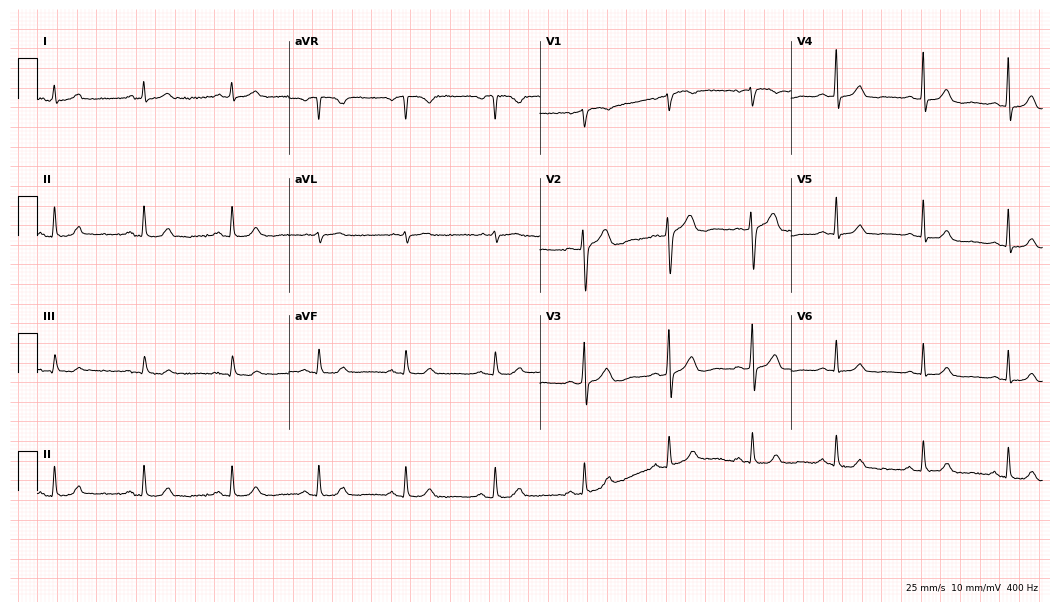
12-lead ECG from a woman, 49 years old (10.2-second recording at 400 Hz). Recorded interpretation: within normal limits.